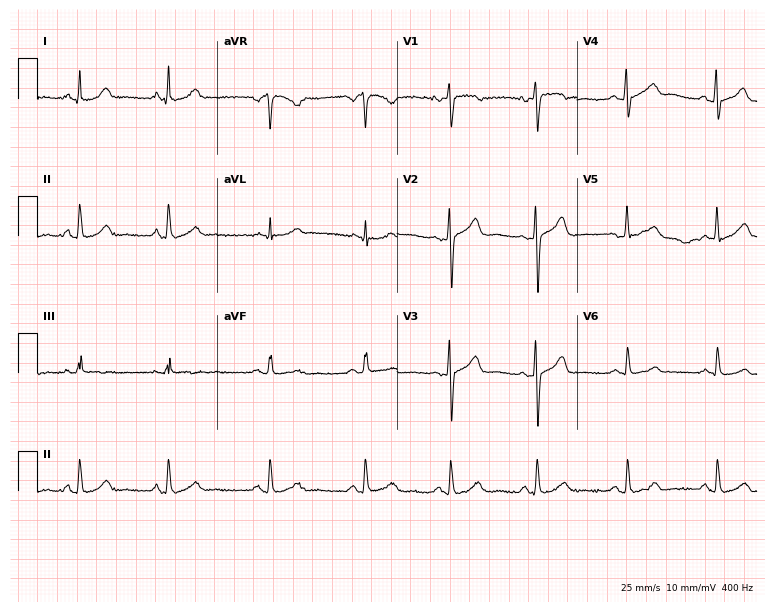
Resting 12-lead electrocardiogram. Patient: a female, 34 years old. None of these six findings is recorded: first-degree AV block, right bundle branch block, left bundle branch block, sinus bradycardia, atrial fibrillation, sinus tachycardia. Only these six findings were labelled.